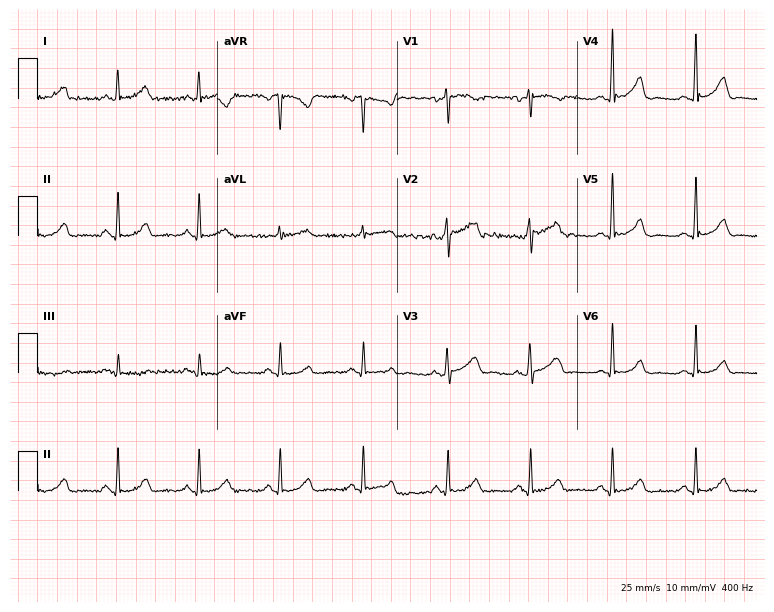
12-lead ECG from a female, 44 years old (7.3-second recording at 400 Hz). Recorded interpretation: within normal limits.